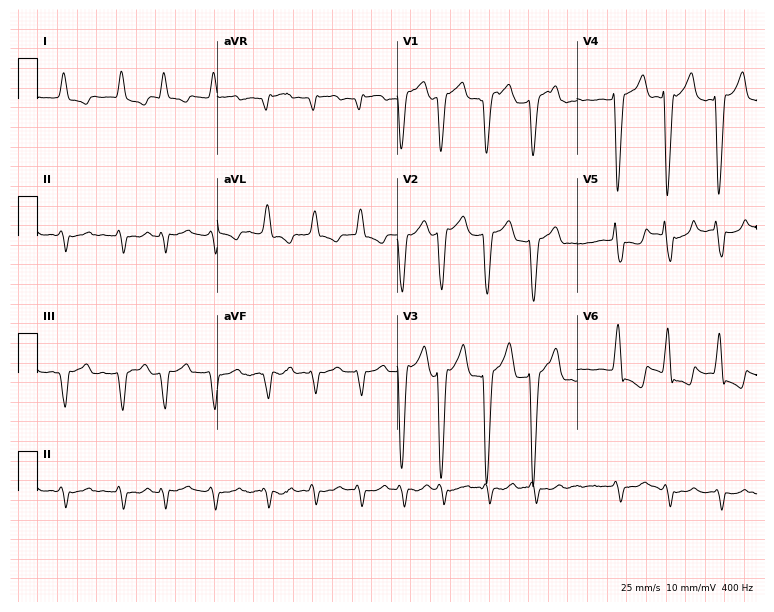
Resting 12-lead electrocardiogram. Patient: an 83-year-old male. The tracing shows atrial fibrillation.